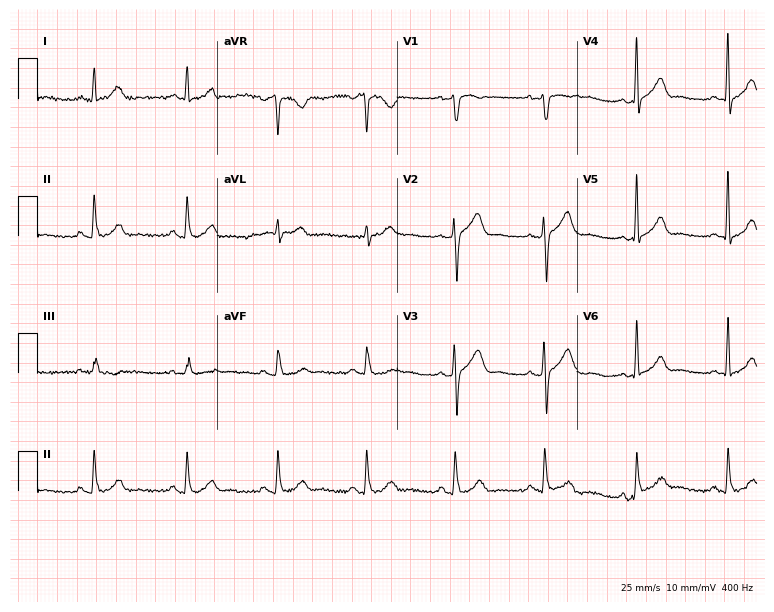
ECG — a male, 70 years old. Labelled as a normal ECG.